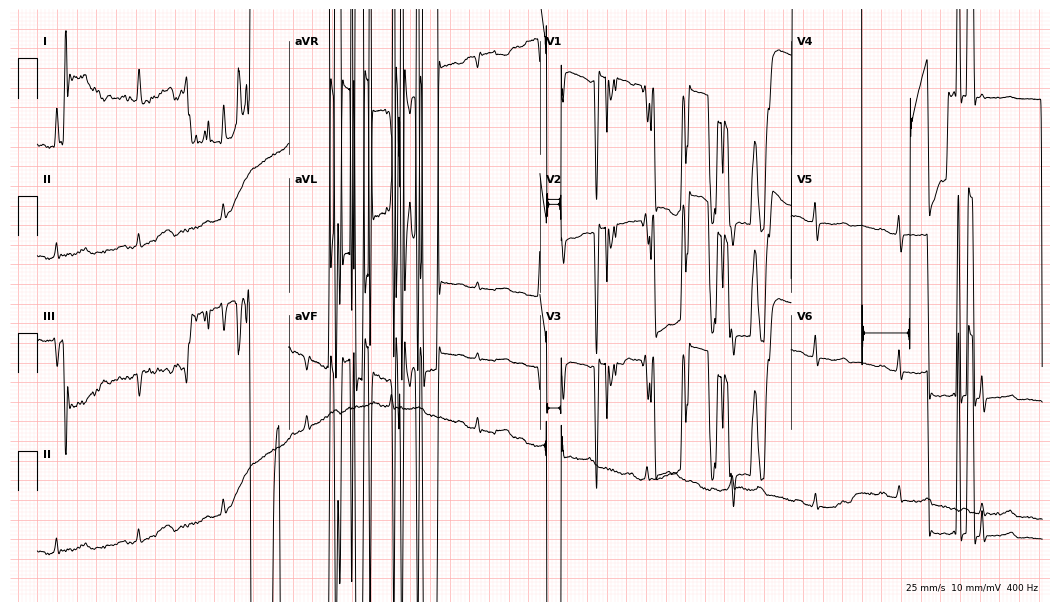
Resting 12-lead electrocardiogram. Patient: a woman, 62 years old. None of these six findings is recorded: first-degree AV block, right bundle branch block, left bundle branch block, sinus bradycardia, atrial fibrillation, sinus tachycardia. Findings outside these six are not listed.